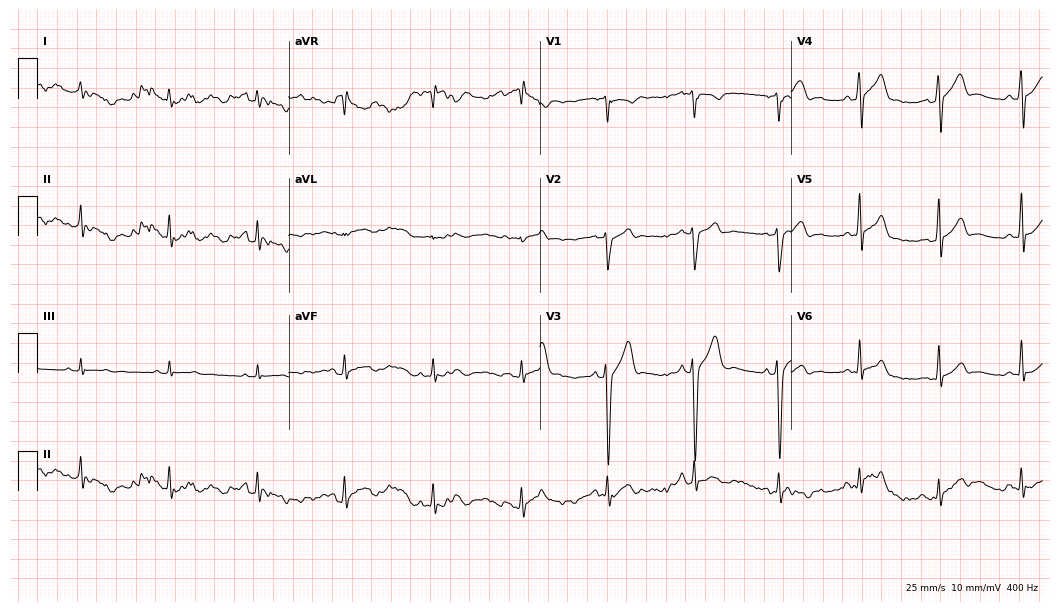
Standard 12-lead ECG recorded from a man, 20 years old (10.2-second recording at 400 Hz). None of these six findings is recorded: first-degree AV block, right bundle branch block (RBBB), left bundle branch block (LBBB), sinus bradycardia, atrial fibrillation (AF), sinus tachycardia.